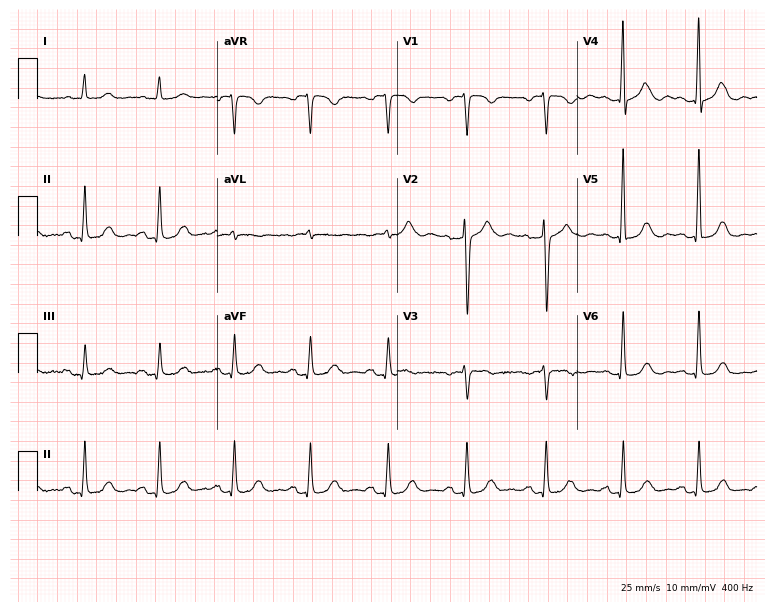
12-lead ECG (7.3-second recording at 400 Hz) from a 77-year-old female patient. Labelled as a normal ECG.